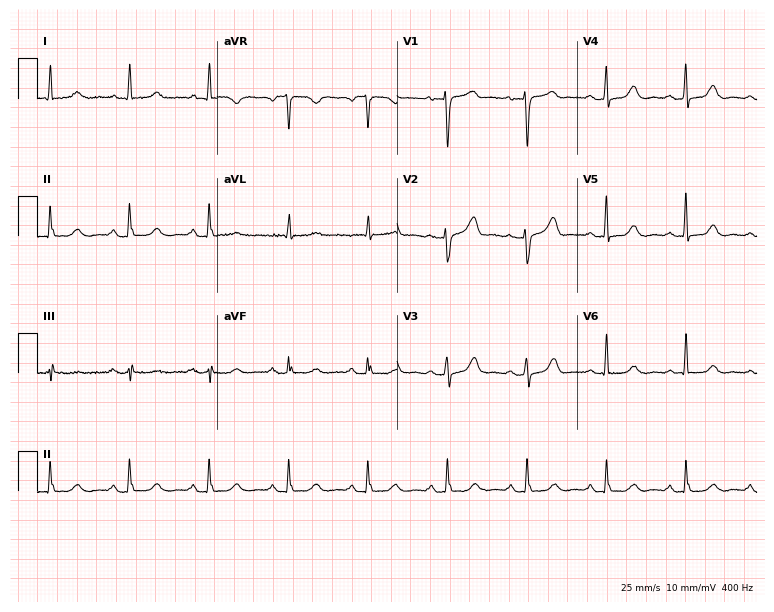
12-lead ECG from a woman, 72 years old (7.3-second recording at 400 Hz). No first-degree AV block, right bundle branch block, left bundle branch block, sinus bradycardia, atrial fibrillation or sinus tachycardia recorded for this tracing. Other findings, if any, are not listed.